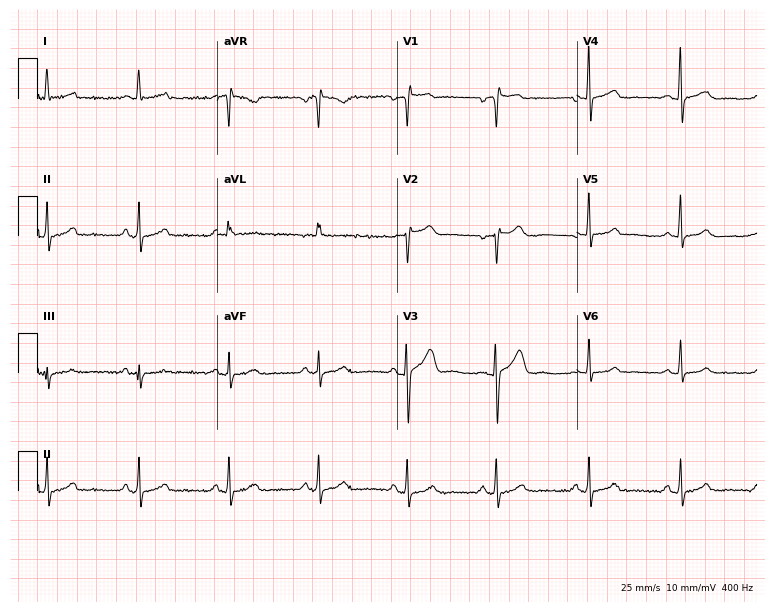
12-lead ECG from a female, 54 years old (7.3-second recording at 400 Hz). Recorded interpretation: within normal limits.